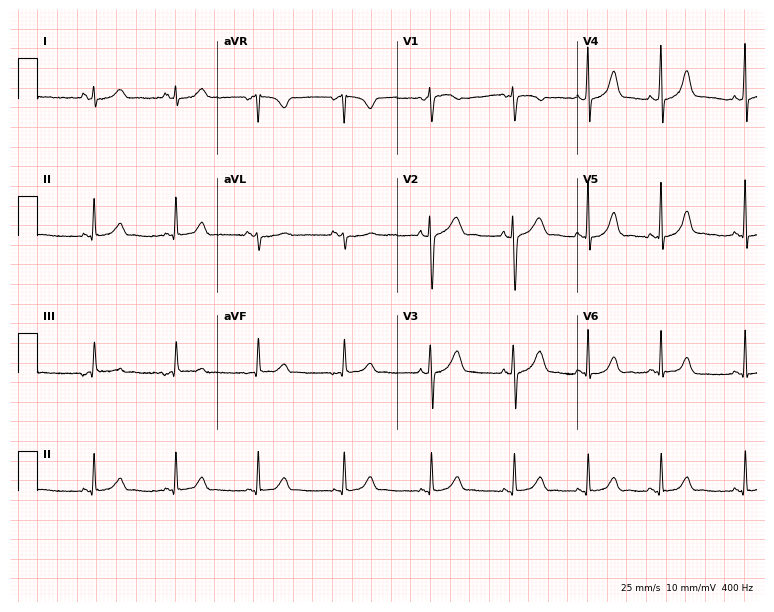
12-lead ECG from a female patient, 19 years old (7.3-second recording at 400 Hz). Recorded interpretation: within normal limits.